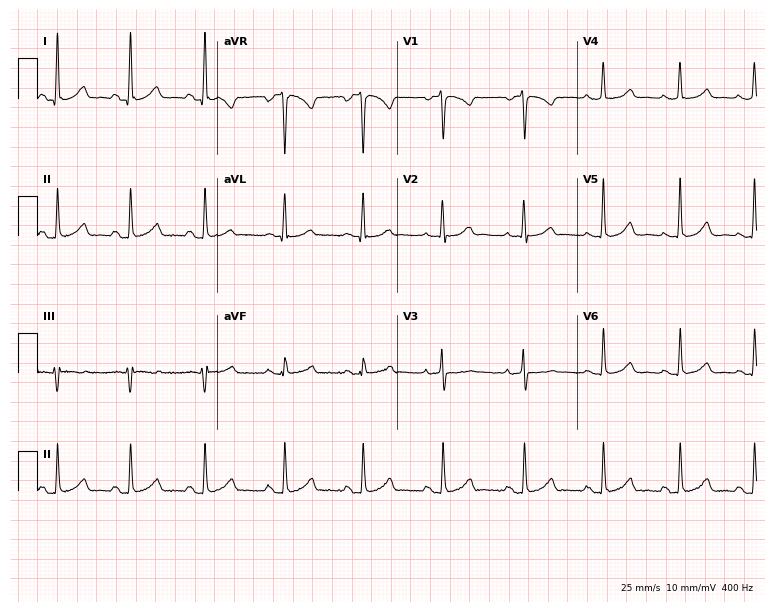
12-lead ECG (7.3-second recording at 400 Hz) from a woman, 25 years old. Labelled as a normal ECG.